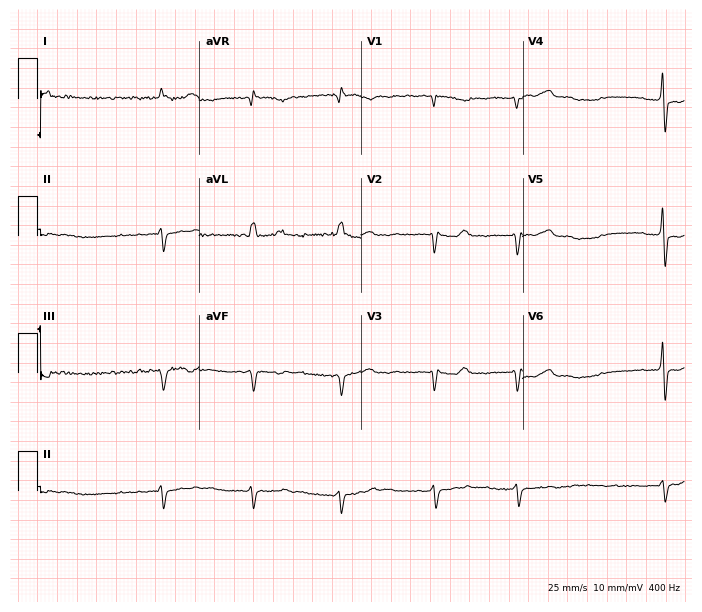
ECG (6.6-second recording at 400 Hz) — a man, 85 years old. Screened for six findings — first-degree AV block, right bundle branch block, left bundle branch block, sinus bradycardia, atrial fibrillation, sinus tachycardia — none is recorded.